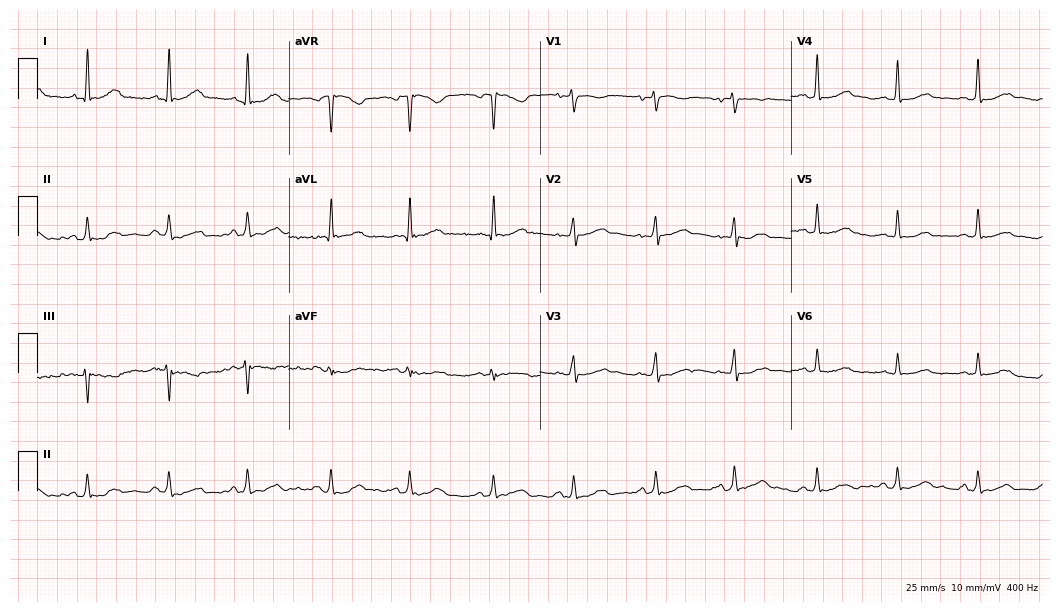
12-lead ECG (10.2-second recording at 400 Hz) from a female, 63 years old. Labelled as a normal ECG.